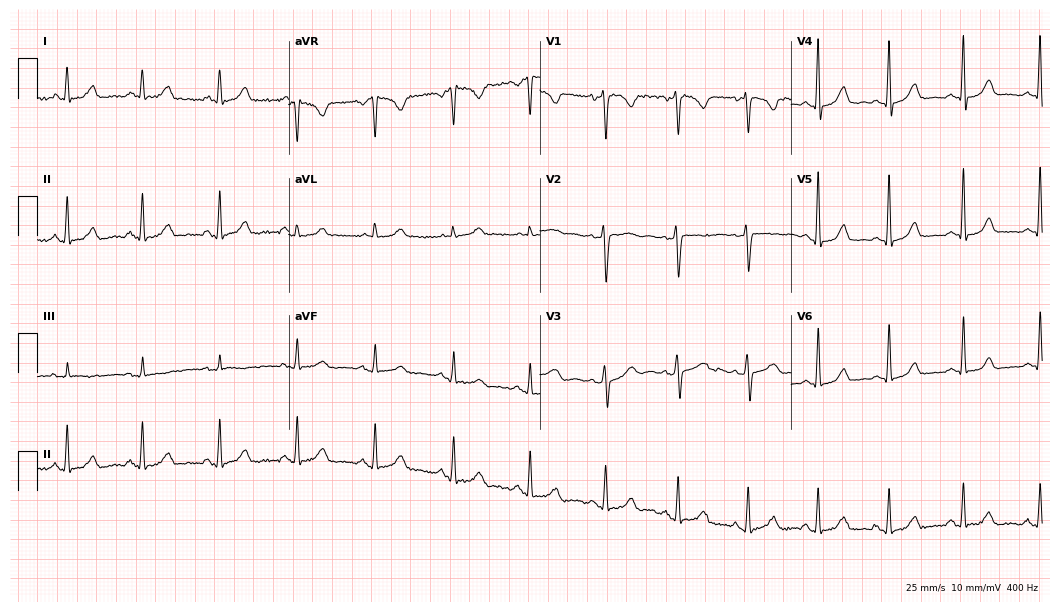
Electrocardiogram (10.2-second recording at 400 Hz), a 42-year-old woman. Overall reading on record: normal ECG.